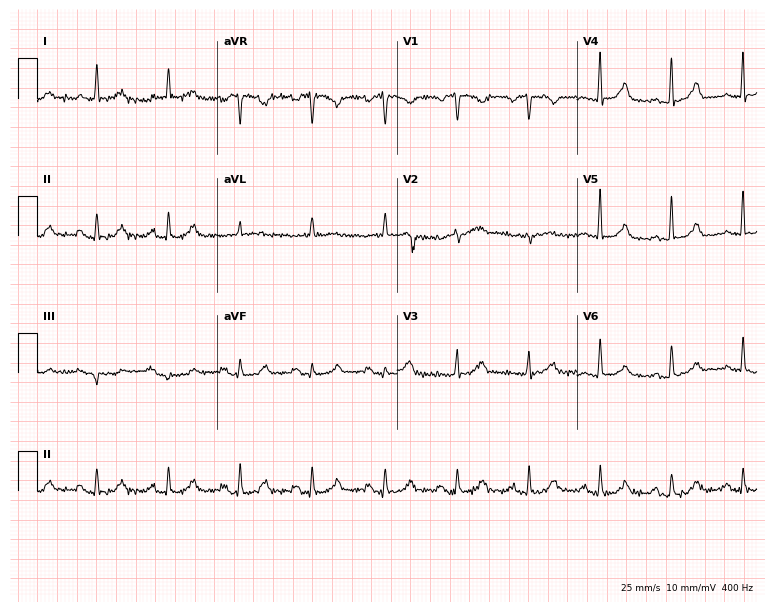
ECG — a 67-year-old woman. Screened for six findings — first-degree AV block, right bundle branch block (RBBB), left bundle branch block (LBBB), sinus bradycardia, atrial fibrillation (AF), sinus tachycardia — none is recorded.